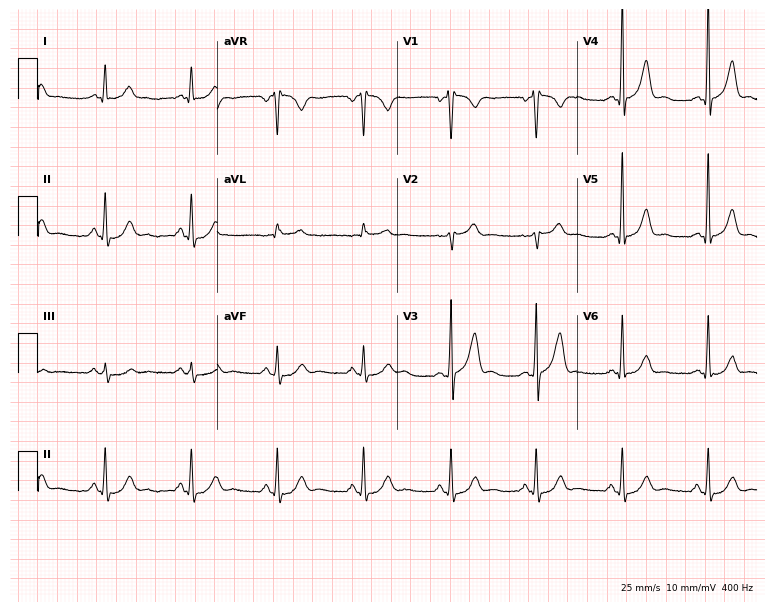
Electrocardiogram (7.3-second recording at 400 Hz), a male patient, 53 years old. Of the six screened findings (first-degree AV block, right bundle branch block (RBBB), left bundle branch block (LBBB), sinus bradycardia, atrial fibrillation (AF), sinus tachycardia), none is recorded.